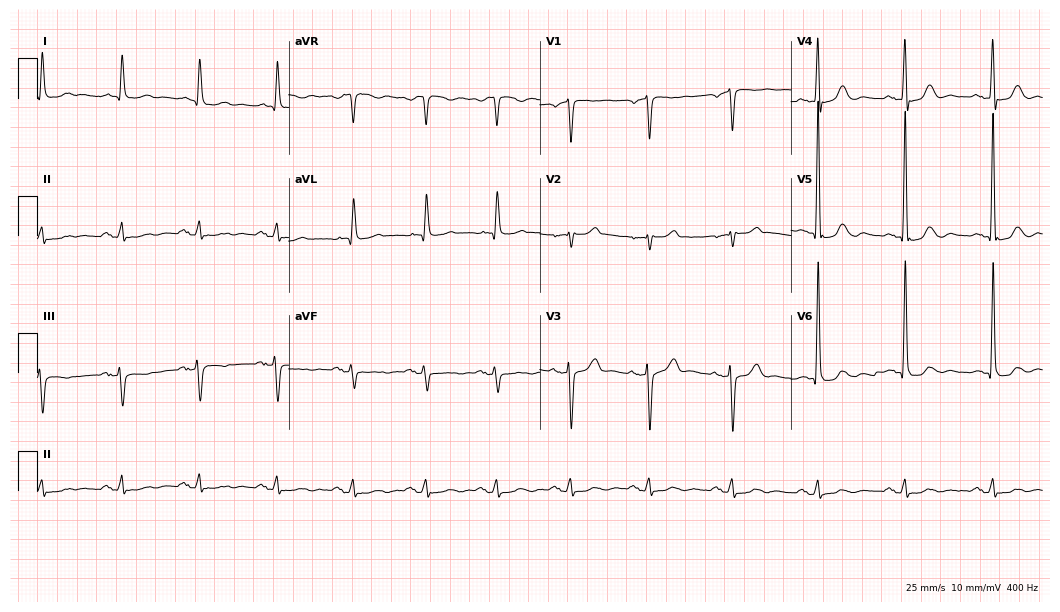
ECG — a 67-year-old male. Screened for six findings — first-degree AV block, right bundle branch block (RBBB), left bundle branch block (LBBB), sinus bradycardia, atrial fibrillation (AF), sinus tachycardia — none is recorded. Only these six findings were labelled.